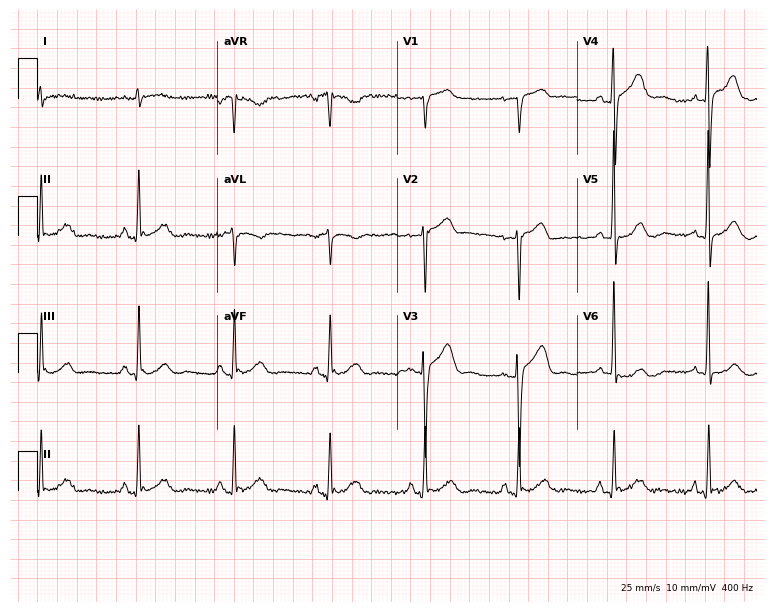
12-lead ECG from a male, 78 years old. Labelled as a normal ECG.